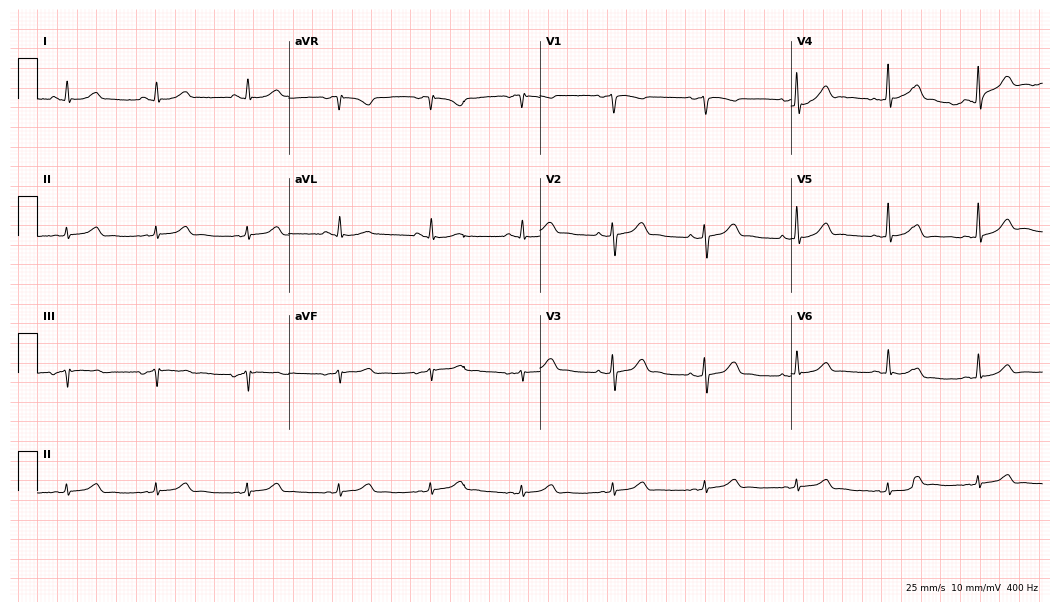
Standard 12-lead ECG recorded from a female patient, 69 years old (10.2-second recording at 400 Hz). Read as a normal ECG.